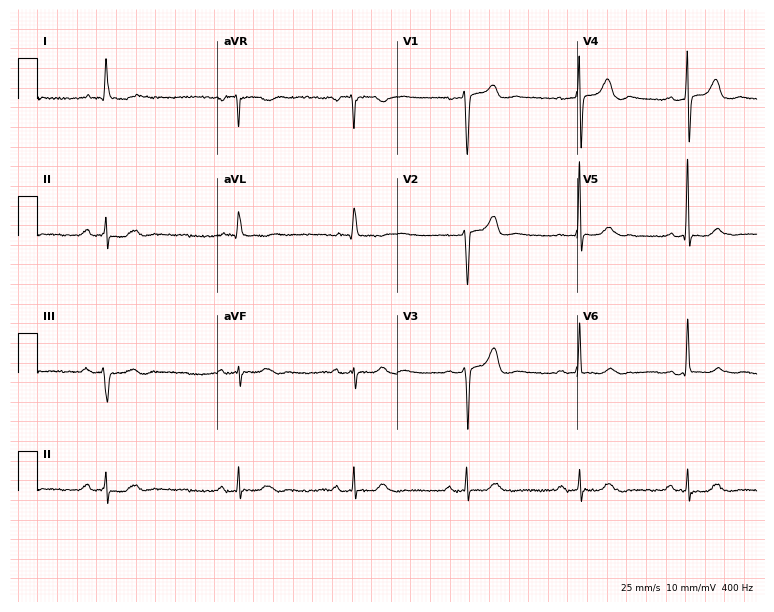
12-lead ECG from a 67-year-old woman. No first-degree AV block, right bundle branch block (RBBB), left bundle branch block (LBBB), sinus bradycardia, atrial fibrillation (AF) or sinus tachycardia recorded for this tracing. Other findings, if any, are not listed.